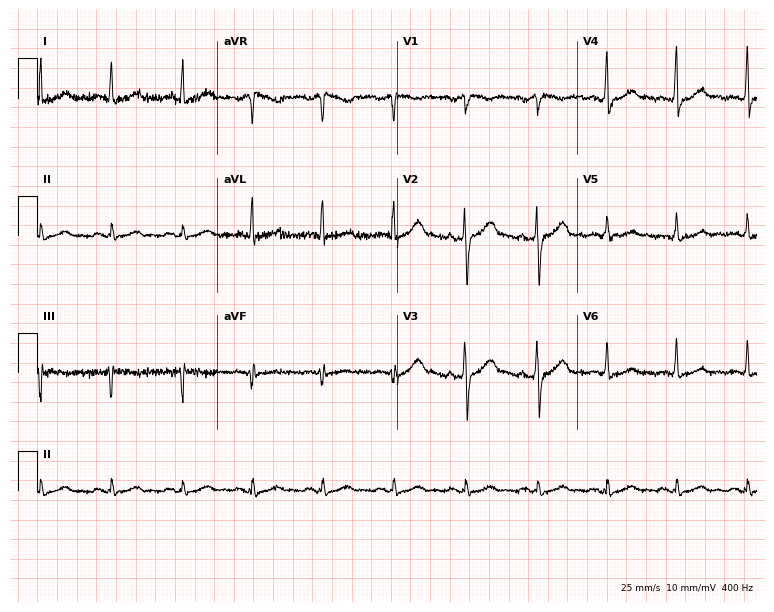
Resting 12-lead electrocardiogram. Patient: a 58-year-old male. None of these six findings is recorded: first-degree AV block, right bundle branch block, left bundle branch block, sinus bradycardia, atrial fibrillation, sinus tachycardia.